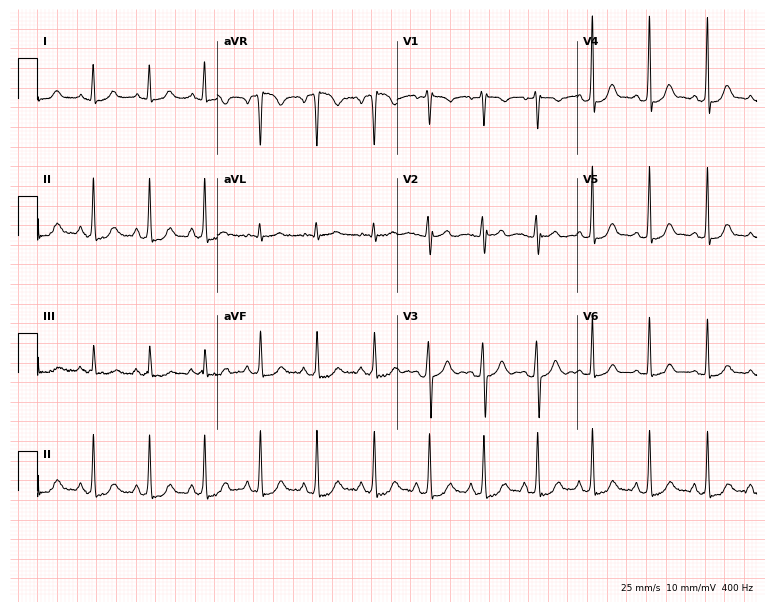
Resting 12-lead electrocardiogram (7.3-second recording at 400 Hz). Patient: a woman, 21 years old. The tracing shows sinus tachycardia (a sinus rate of 100 beats per minute or more).